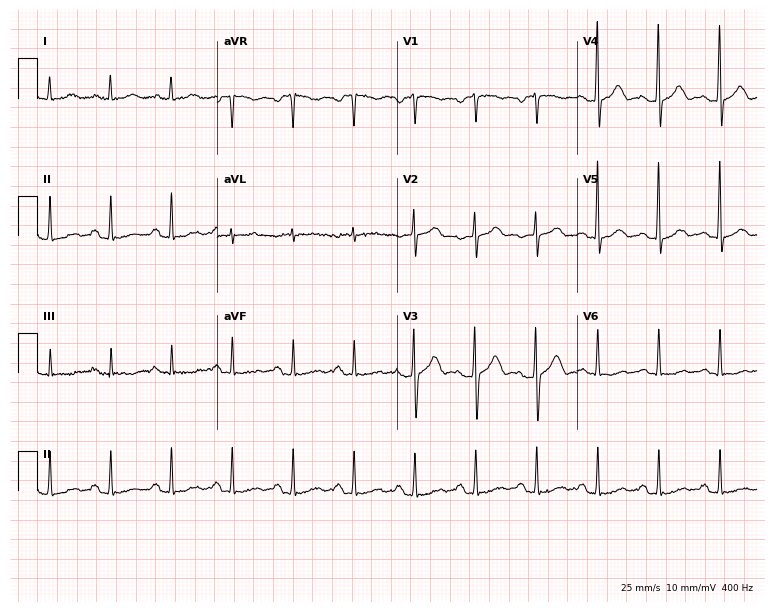
Standard 12-lead ECG recorded from a man, 65 years old (7.3-second recording at 400 Hz). Read as a normal ECG.